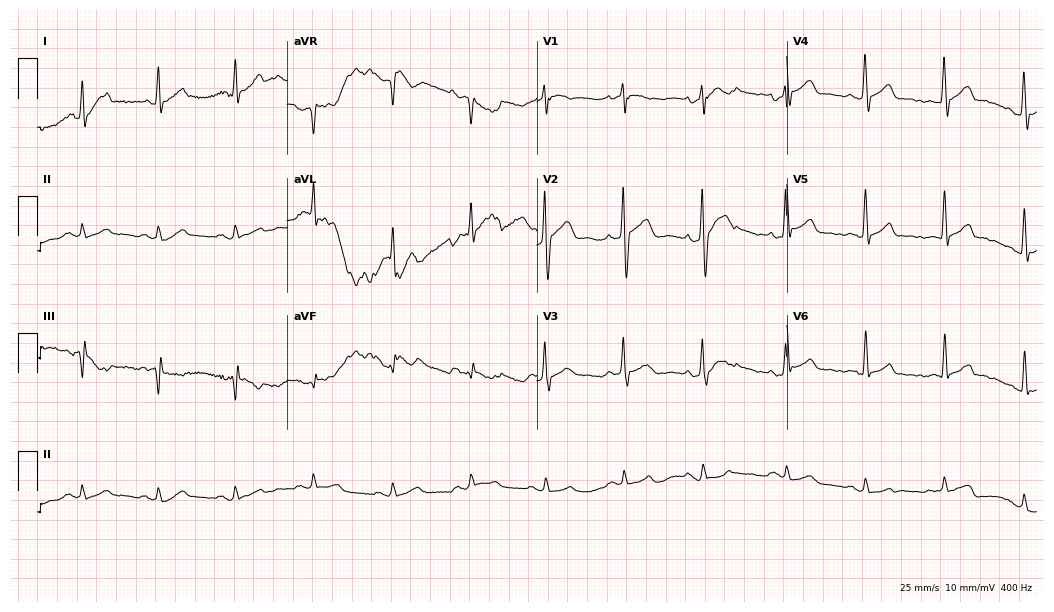
12-lead ECG (10.2-second recording at 400 Hz) from a male patient, 49 years old. Screened for six findings — first-degree AV block, right bundle branch block, left bundle branch block, sinus bradycardia, atrial fibrillation, sinus tachycardia — none is recorded. Findings outside these six are not listed.